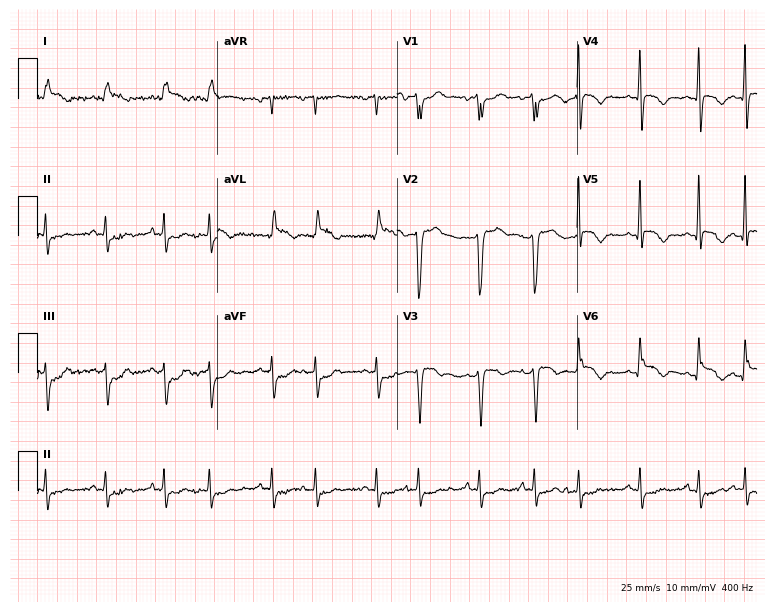
Electrocardiogram (7.3-second recording at 400 Hz), an 84-year-old female patient. Interpretation includes atrial fibrillation (AF), sinus tachycardia (a sinus rate of 100 beats per minute or more).